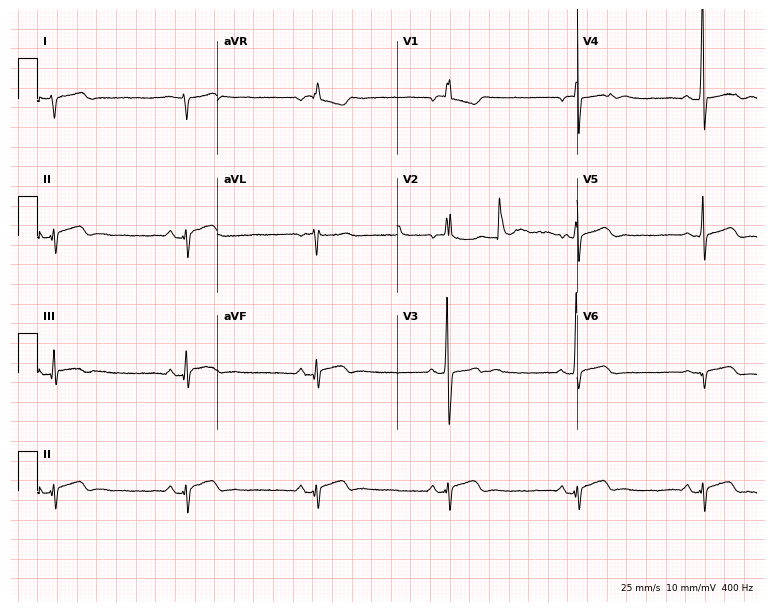
ECG (7.3-second recording at 400 Hz) — a male patient, 17 years old. Screened for six findings — first-degree AV block, right bundle branch block (RBBB), left bundle branch block (LBBB), sinus bradycardia, atrial fibrillation (AF), sinus tachycardia — none is recorded. Only these six findings were labelled.